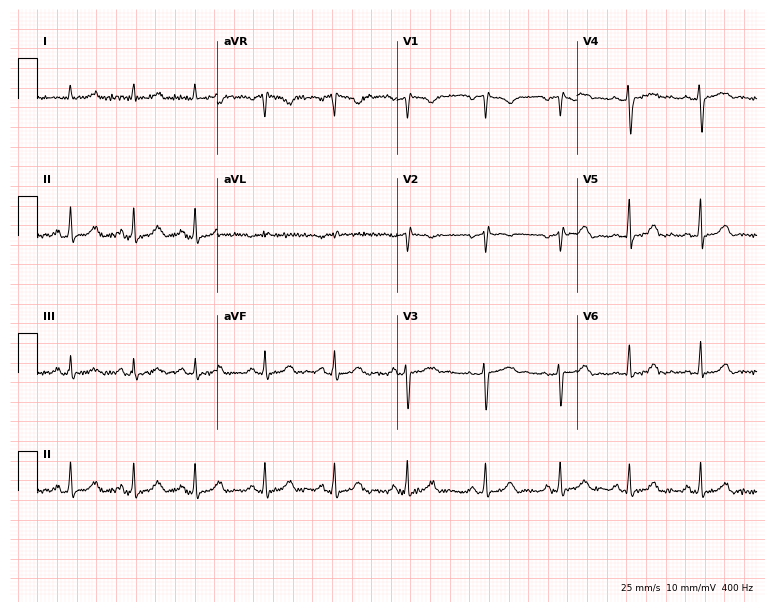
12-lead ECG from a woman, 28 years old. Screened for six findings — first-degree AV block, right bundle branch block, left bundle branch block, sinus bradycardia, atrial fibrillation, sinus tachycardia — none is recorded. Findings outside these six are not listed.